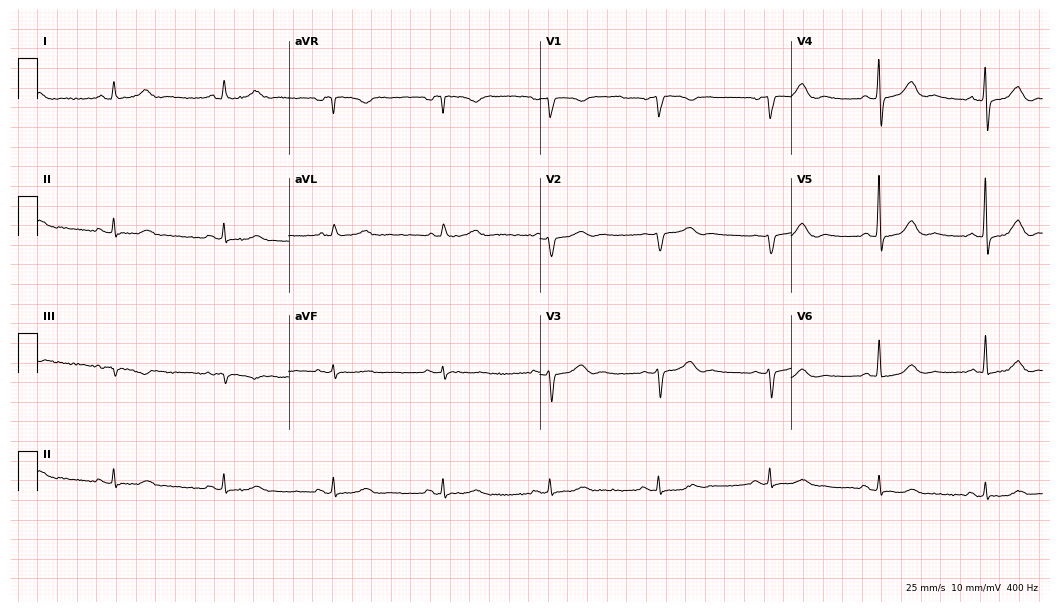
Resting 12-lead electrocardiogram (10.2-second recording at 400 Hz). Patient: an 81-year-old male. Read as a normal ECG.